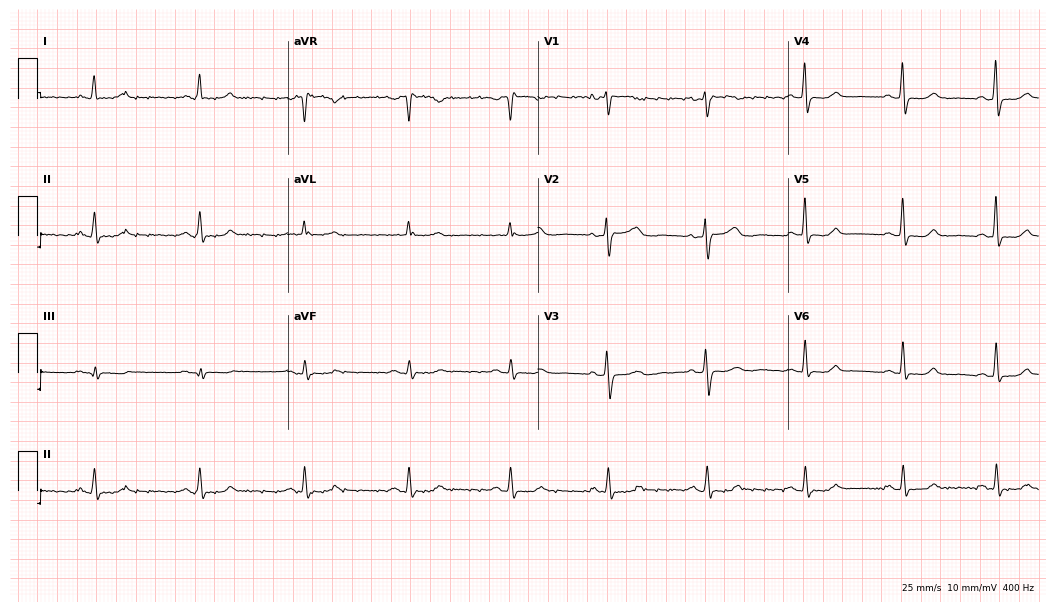
Electrocardiogram (10.2-second recording at 400 Hz), a female, 58 years old. Overall reading on record: normal ECG.